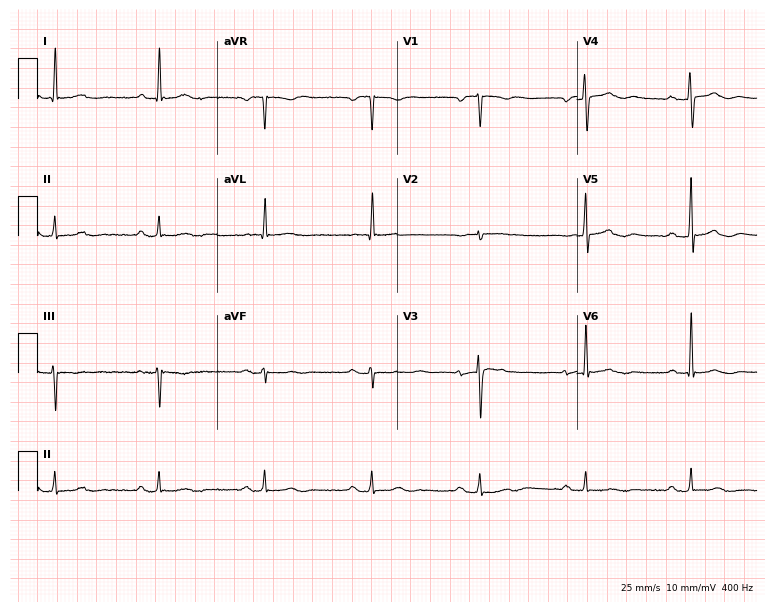
ECG (7.3-second recording at 400 Hz) — an 80-year-old woman. Labelled as a normal ECG.